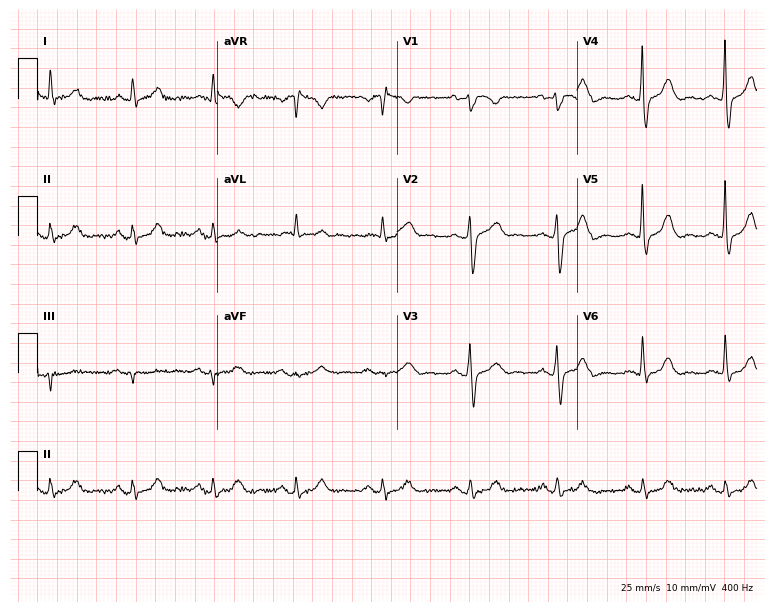
Electrocardiogram, an 85-year-old man. Of the six screened findings (first-degree AV block, right bundle branch block, left bundle branch block, sinus bradycardia, atrial fibrillation, sinus tachycardia), none is recorded.